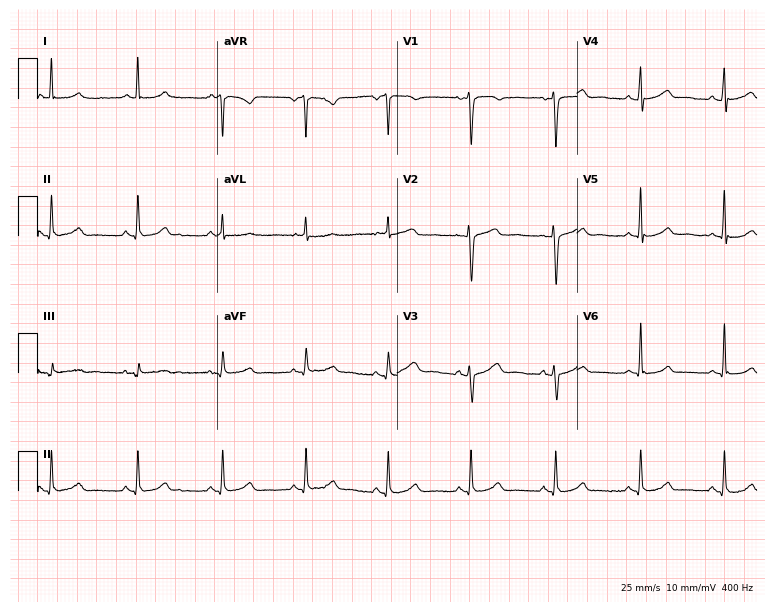
12-lead ECG (7.3-second recording at 400 Hz) from a woman, 35 years old. Labelled as a normal ECG.